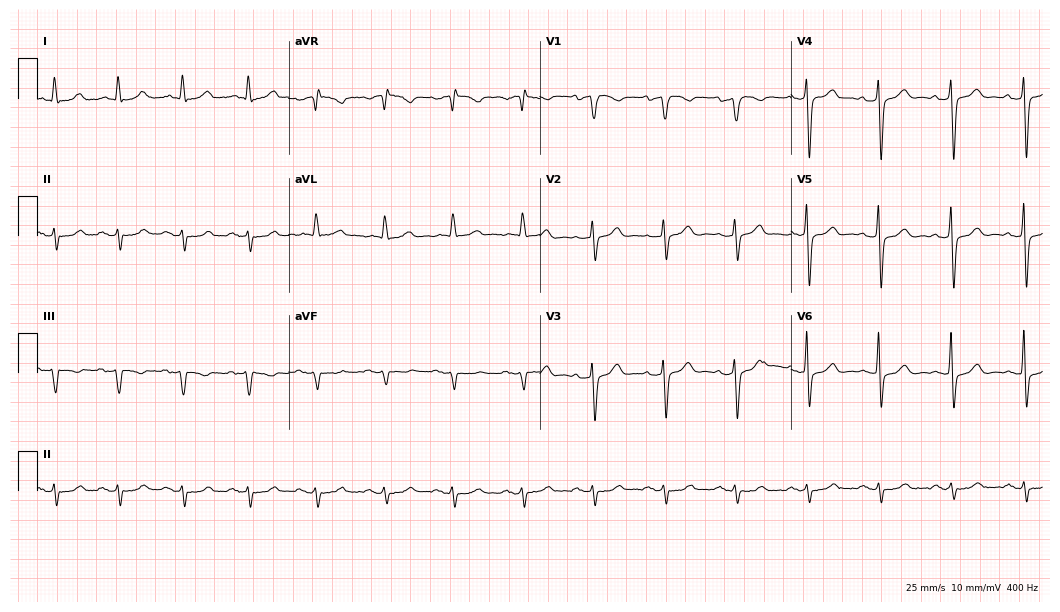
12-lead ECG (10.2-second recording at 400 Hz) from a 72-year-old man. Screened for six findings — first-degree AV block, right bundle branch block, left bundle branch block, sinus bradycardia, atrial fibrillation, sinus tachycardia — none is recorded.